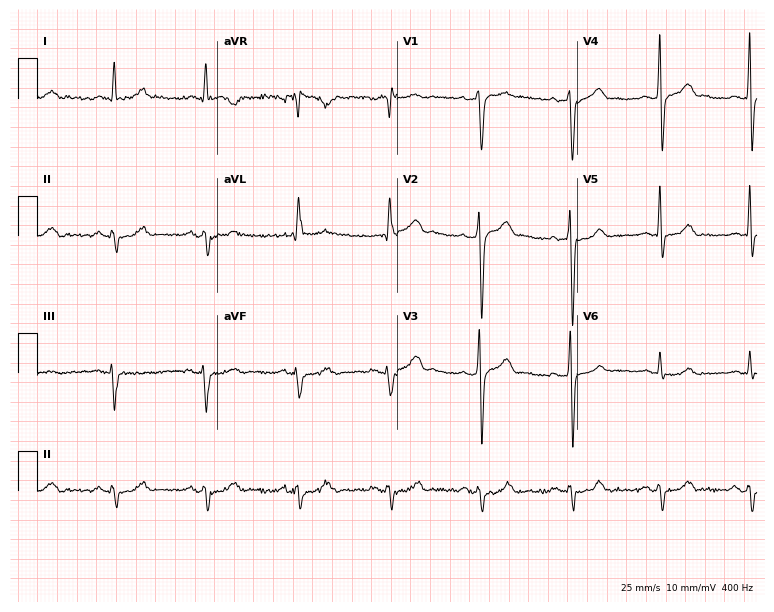
12-lead ECG from a 58-year-old man. Shows left bundle branch block (LBBB).